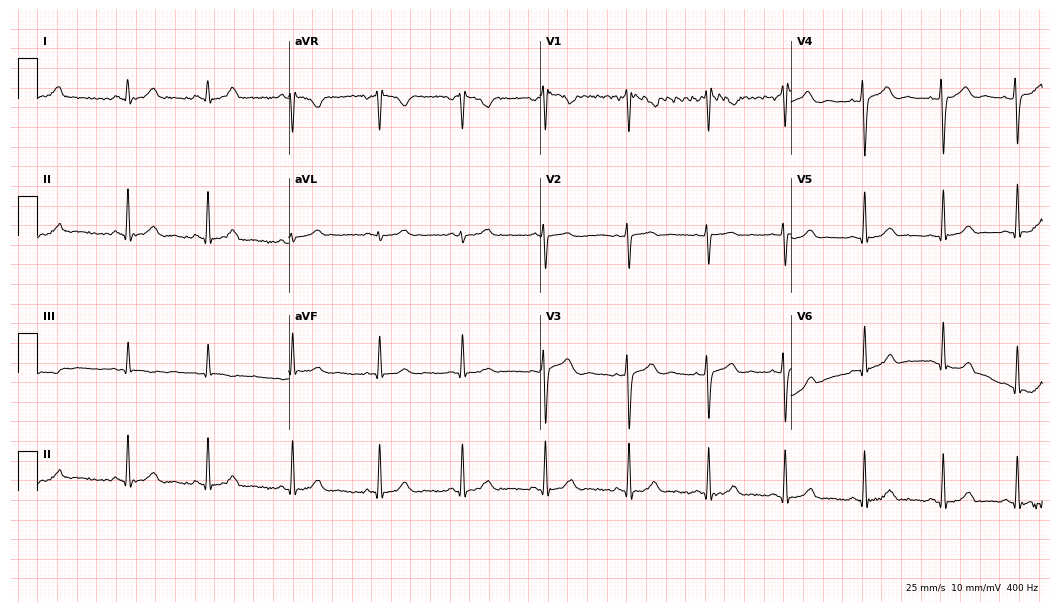
Electrocardiogram, a 27-year-old female. Overall reading on record: normal ECG.